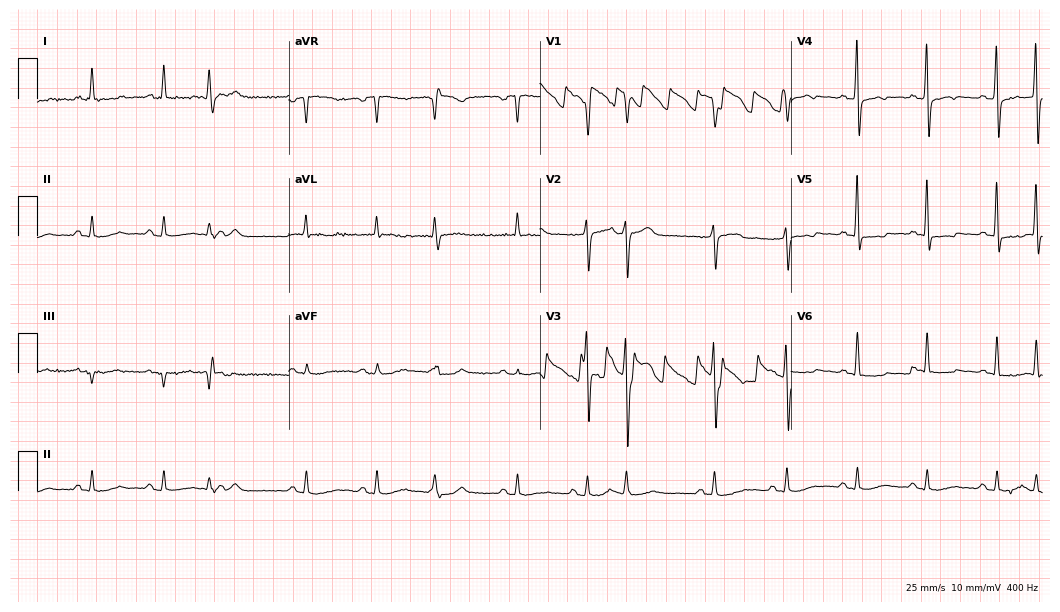
12-lead ECG (10.2-second recording at 400 Hz) from a man, 81 years old. Screened for six findings — first-degree AV block, right bundle branch block, left bundle branch block, sinus bradycardia, atrial fibrillation, sinus tachycardia — none is recorded.